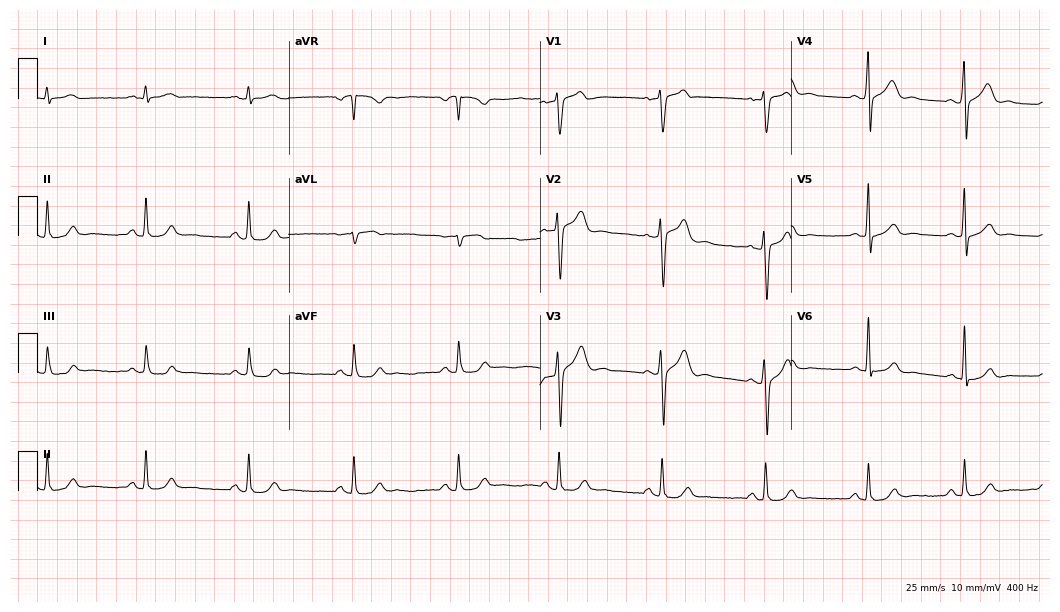
Standard 12-lead ECG recorded from a male, 31 years old. Read as a normal ECG.